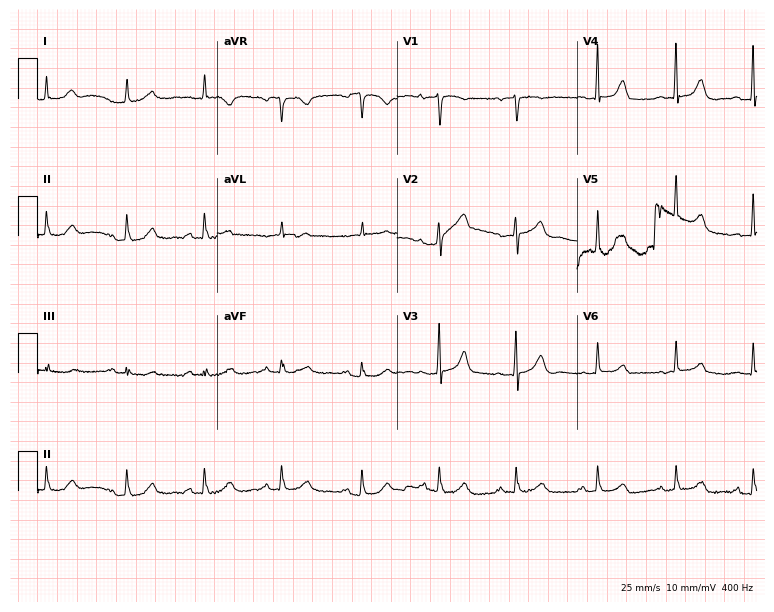
Standard 12-lead ECG recorded from a 72-year-old female. None of these six findings is recorded: first-degree AV block, right bundle branch block, left bundle branch block, sinus bradycardia, atrial fibrillation, sinus tachycardia. Only these six findings were labelled.